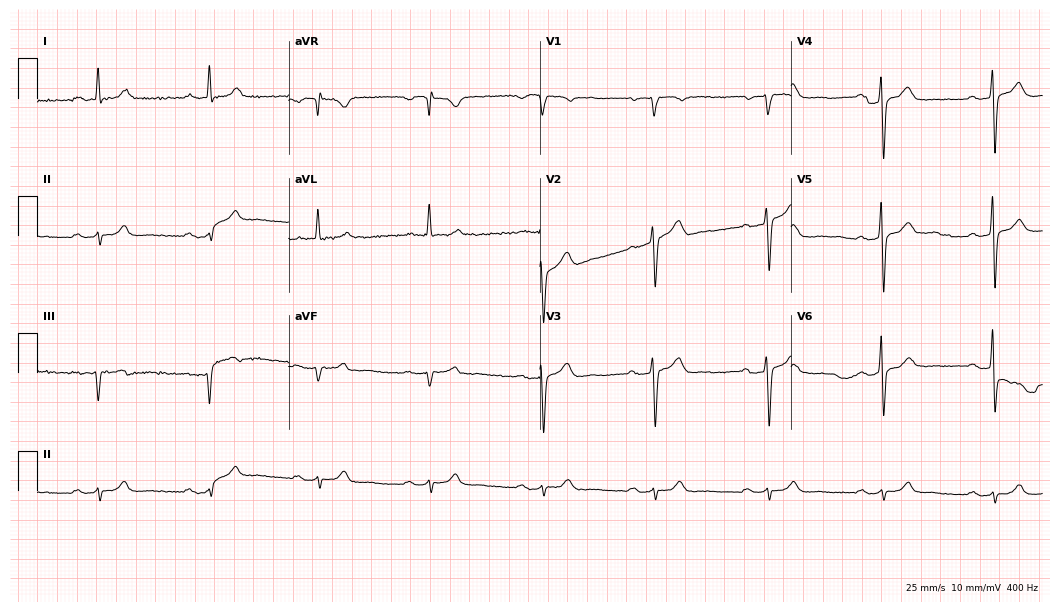
Resting 12-lead electrocardiogram (10.2-second recording at 400 Hz). Patient: a 68-year-old male. The tracing shows first-degree AV block.